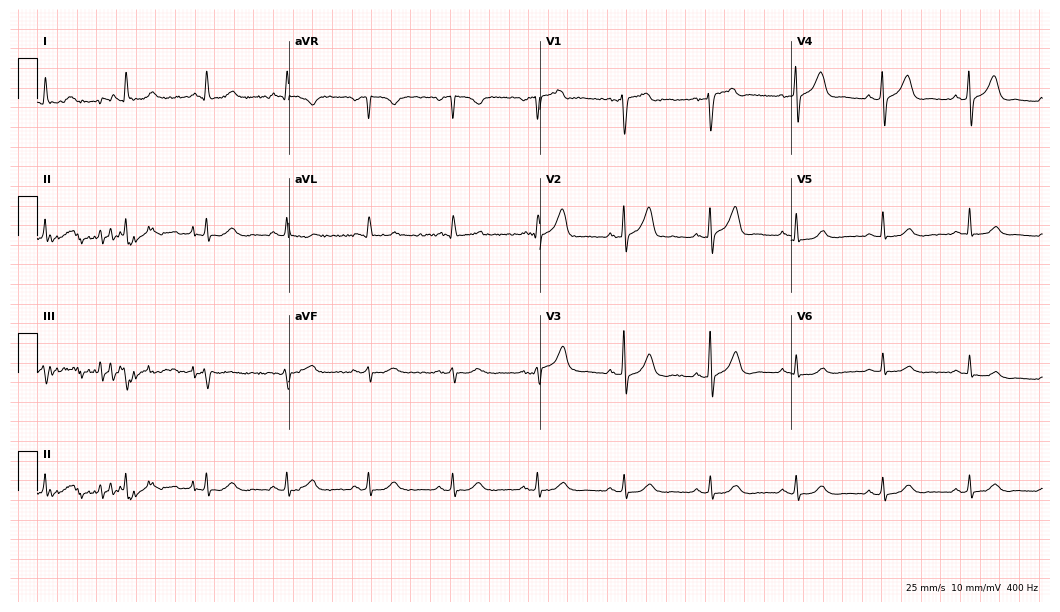
Standard 12-lead ECG recorded from a male, 62 years old (10.2-second recording at 400 Hz). Read as a normal ECG.